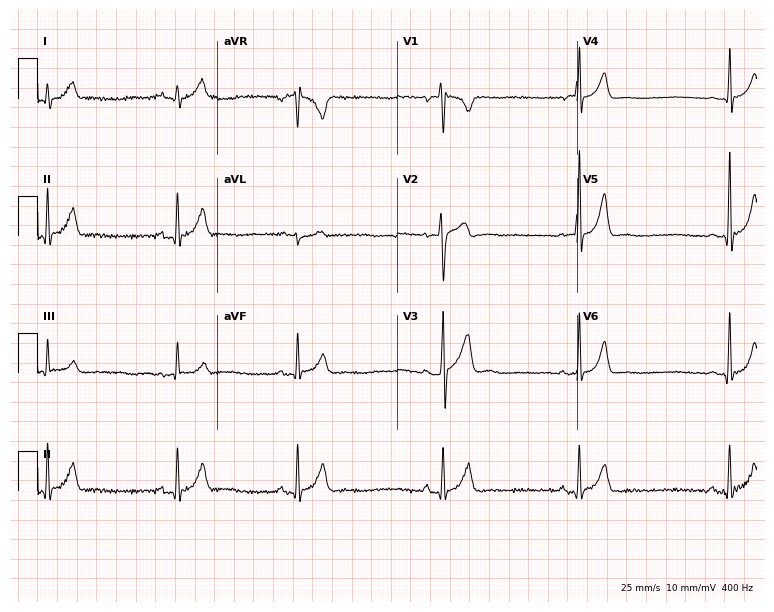
12-lead ECG from a 21-year-old man (7.3-second recording at 400 Hz). Shows sinus bradycardia (a sinus rate of 50 beats per minute or less).